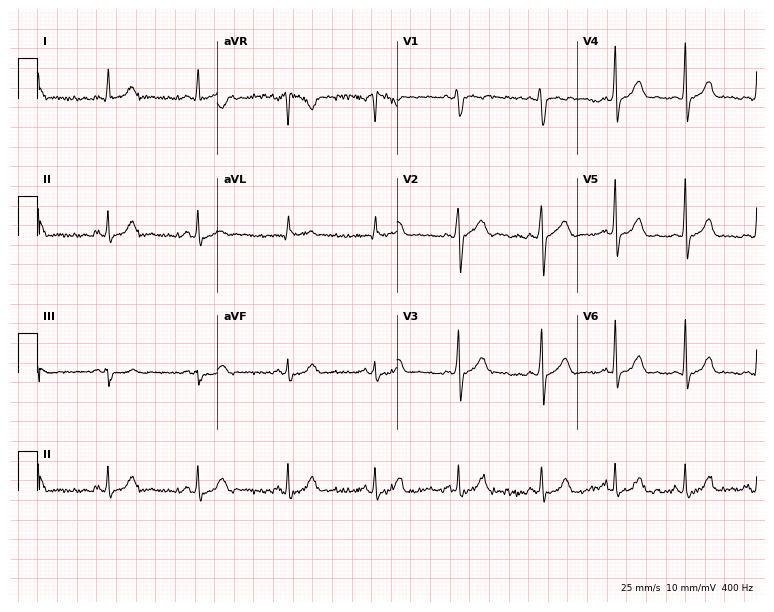
Resting 12-lead electrocardiogram (7.3-second recording at 400 Hz). Patient: a 38-year-old female. Read as a normal ECG.